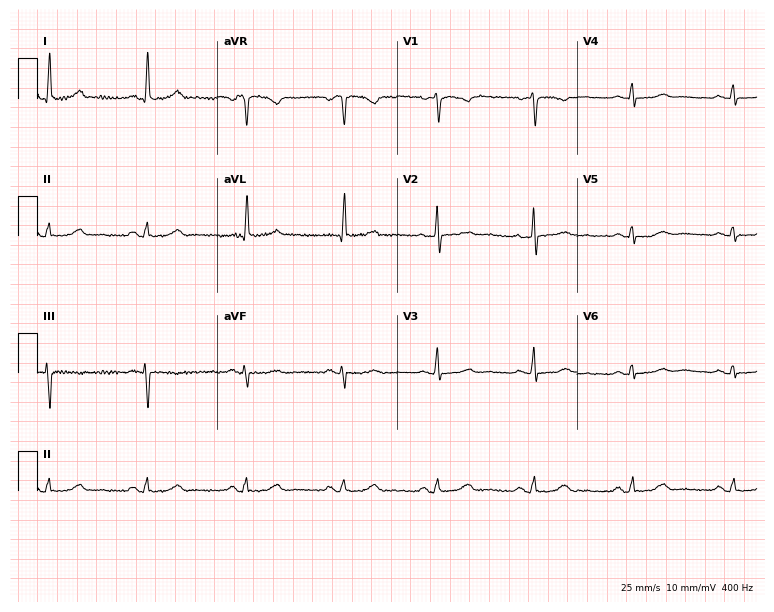
12-lead ECG from a 60-year-old female patient. Screened for six findings — first-degree AV block, right bundle branch block, left bundle branch block, sinus bradycardia, atrial fibrillation, sinus tachycardia — none is recorded.